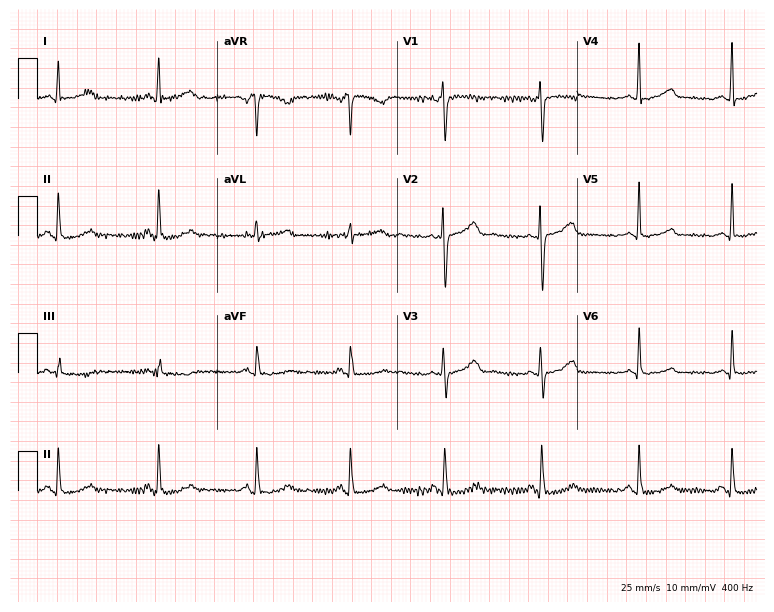
Standard 12-lead ECG recorded from a 31-year-old woman (7.3-second recording at 400 Hz). None of these six findings is recorded: first-degree AV block, right bundle branch block (RBBB), left bundle branch block (LBBB), sinus bradycardia, atrial fibrillation (AF), sinus tachycardia. Findings outside these six are not listed.